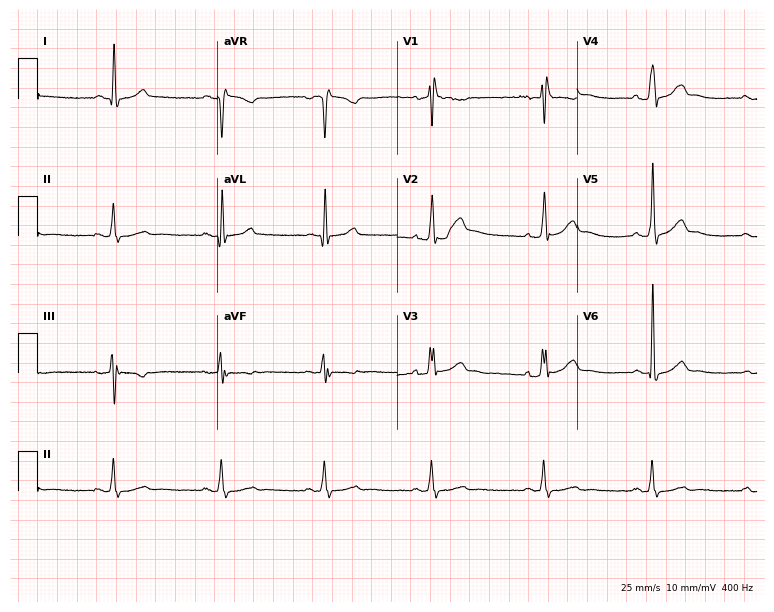
Electrocardiogram (7.3-second recording at 400 Hz), a man, 63 years old. Interpretation includes right bundle branch block.